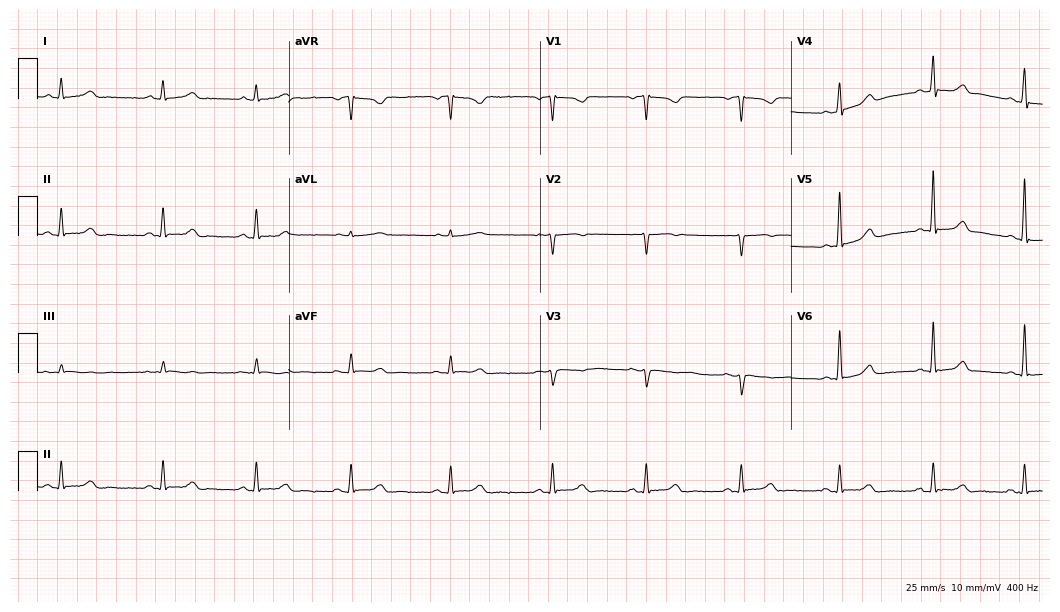
Standard 12-lead ECG recorded from a female patient, 50 years old. None of these six findings is recorded: first-degree AV block, right bundle branch block, left bundle branch block, sinus bradycardia, atrial fibrillation, sinus tachycardia.